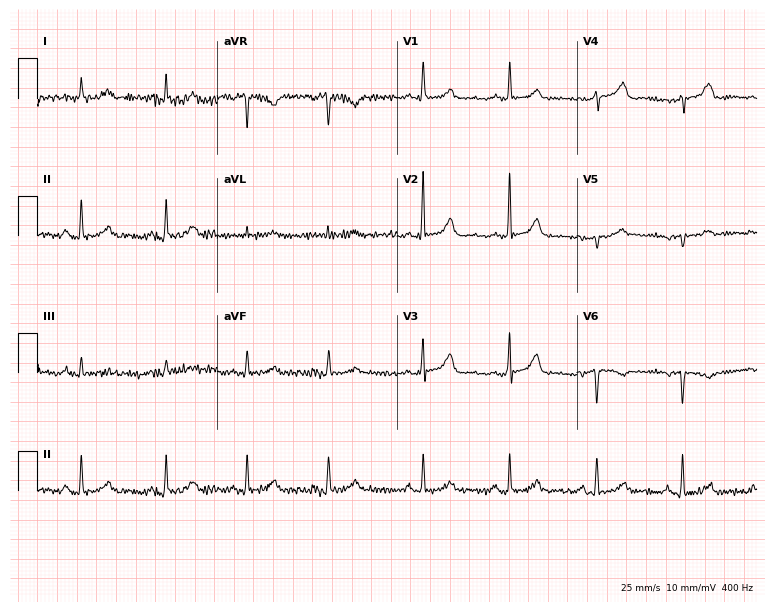
ECG — a 60-year-old woman. Screened for six findings — first-degree AV block, right bundle branch block, left bundle branch block, sinus bradycardia, atrial fibrillation, sinus tachycardia — none is recorded.